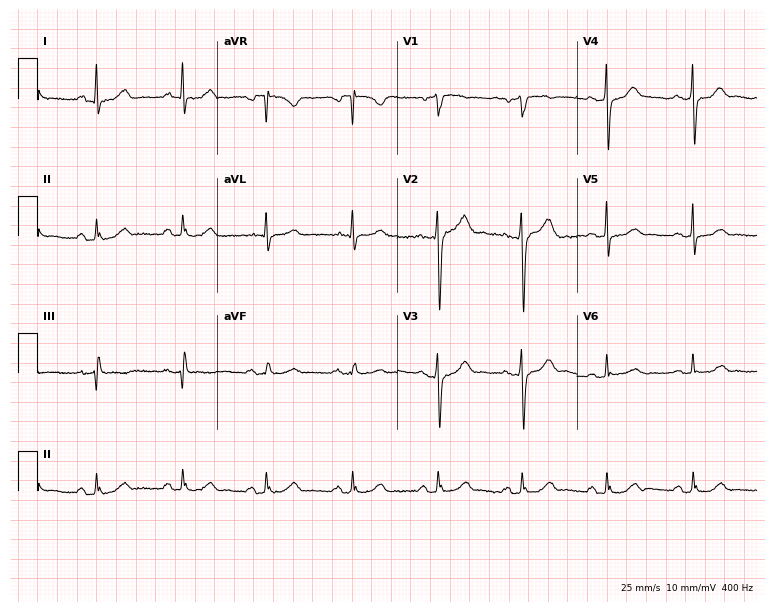
ECG — a male, 41 years old. Labelled as a normal ECG.